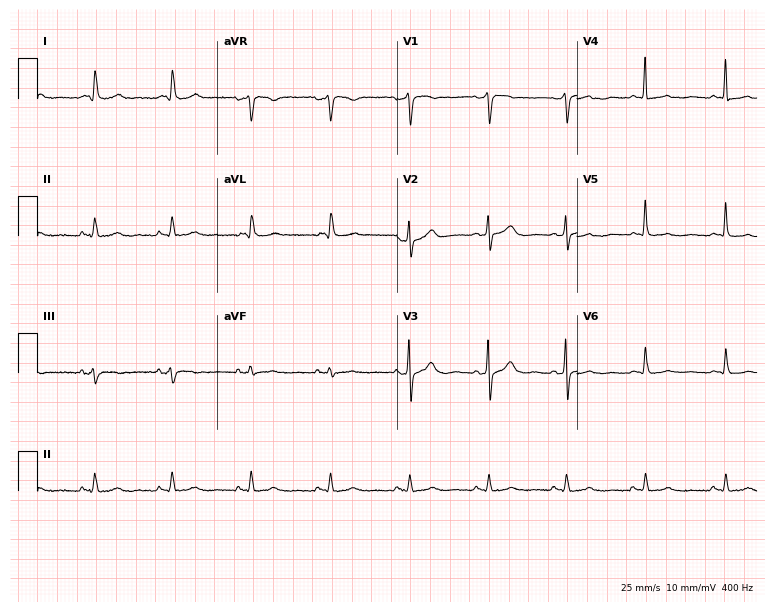
12-lead ECG from a 70-year-old female patient. No first-degree AV block, right bundle branch block, left bundle branch block, sinus bradycardia, atrial fibrillation or sinus tachycardia recorded for this tracing. Only these six findings were labelled.